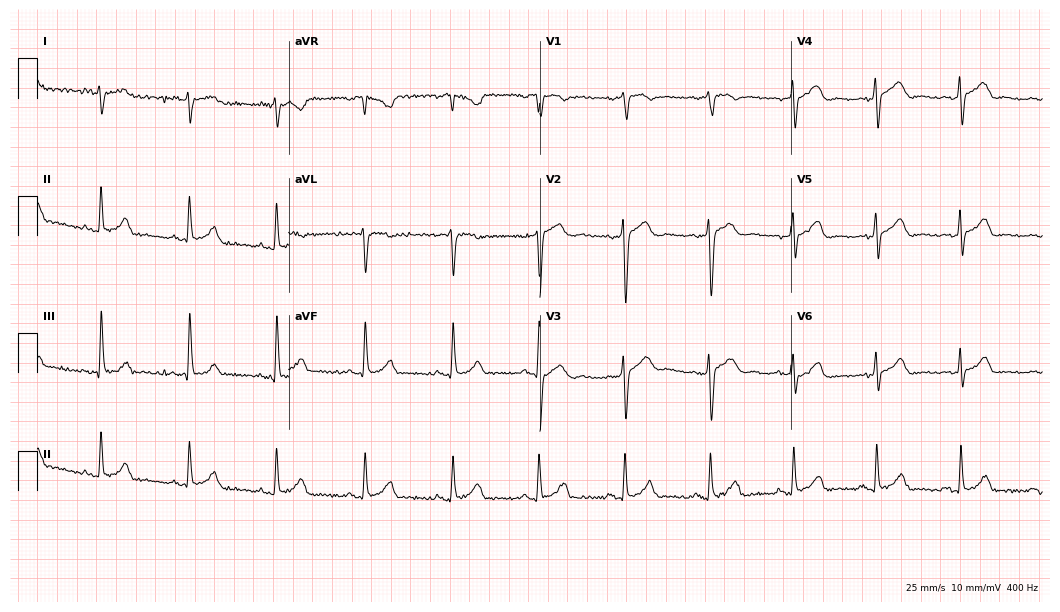
Resting 12-lead electrocardiogram. Patient: a man, 43 years old. None of these six findings is recorded: first-degree AV block, right bundle branch block, left bundle branch block, sinus bradycardia, atrial fibrillation, sinus tachycardia.